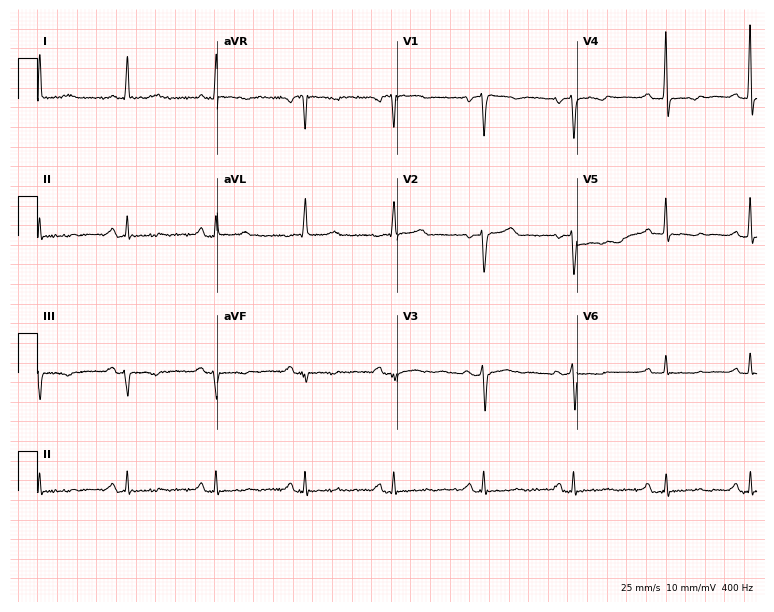
Resting 12-lead electrocardiogram (7.3-second recording at 400 Hz). Patient: a woman, 55 years old. None of these six findings is recorded: first-degree AV block, right bundle branch block, left bundle branch block, sinus bradycardia, atrial fibrillation, sinus tachycardia. Only these six findings were labelled.